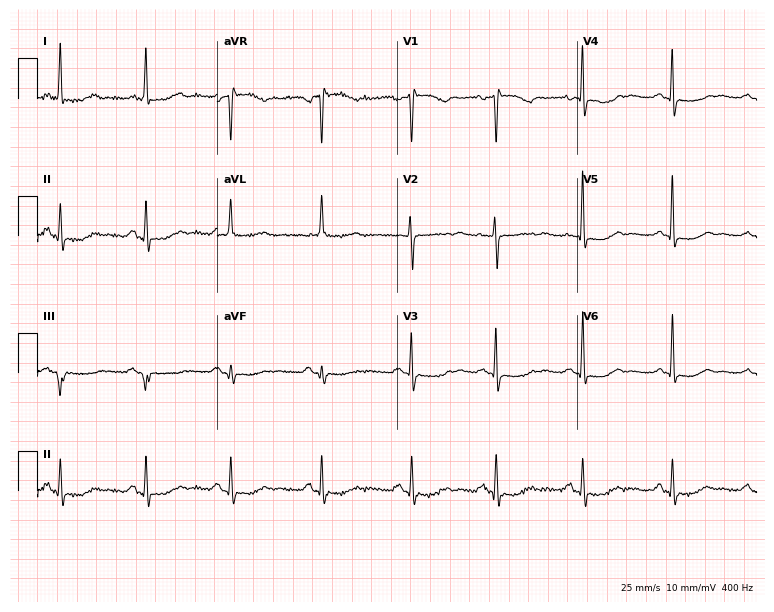
12-lead ECG from a female patient, 82 years old. No first-degree AV block, right bundle branch block (RBBB), left bundle branch block (LBBB), sinus bradycardia, atrial fibrillation (AF) or sinus tachycardia recorded for this tracing. Other findings, if any, are not listed.